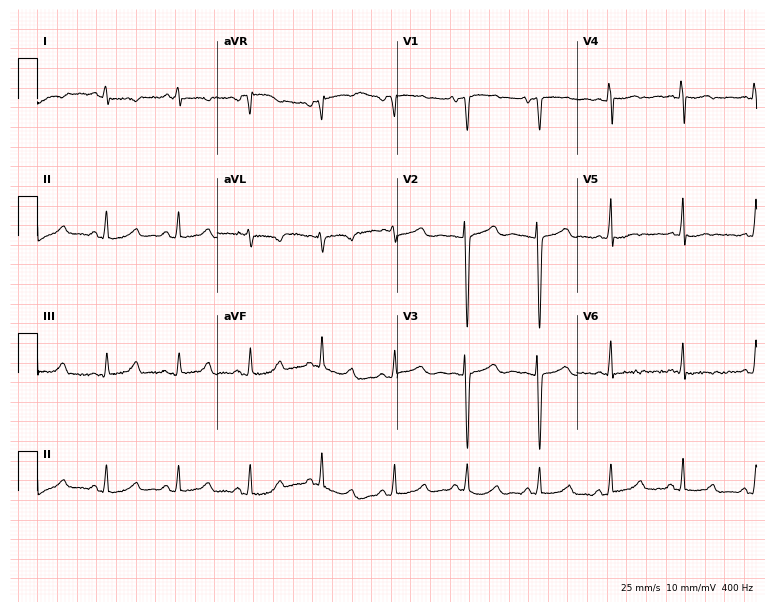
Standard 12-lead ECG recorded from a female, 27 years old. None of these six findings is recorded: first-degree AV block, right bundle branch block, left bundle branch block, sinus bradycardia, atrial fibrillation, sinus tachycardia.